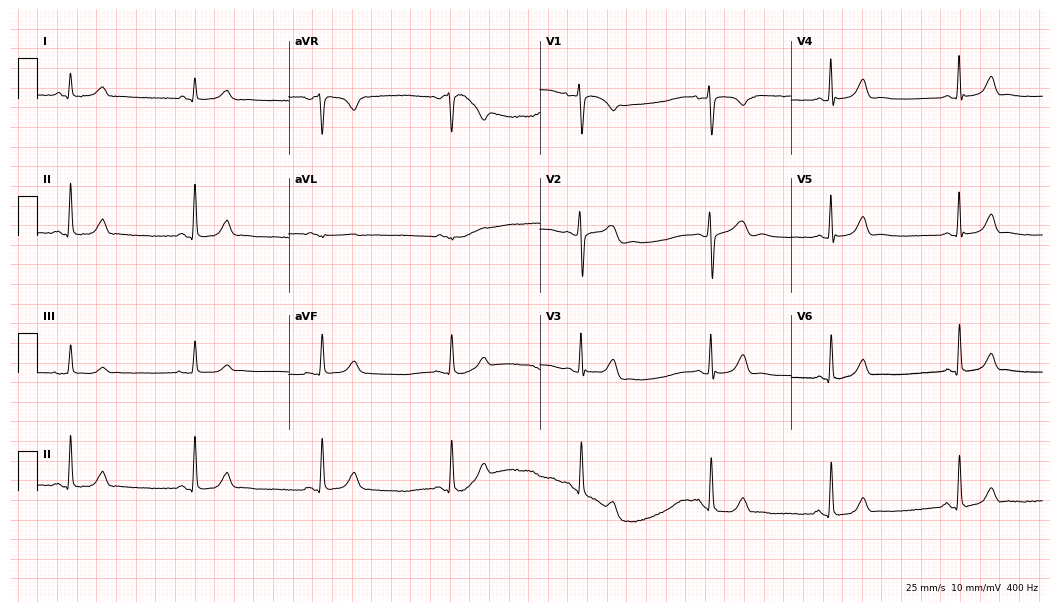
Electrocardiogram (10.2-second recording at 400 Hz), a 39-year-old female patient. Interpretation includes sinus bradycardia (a sinus rate of 50 beats per minute or less).